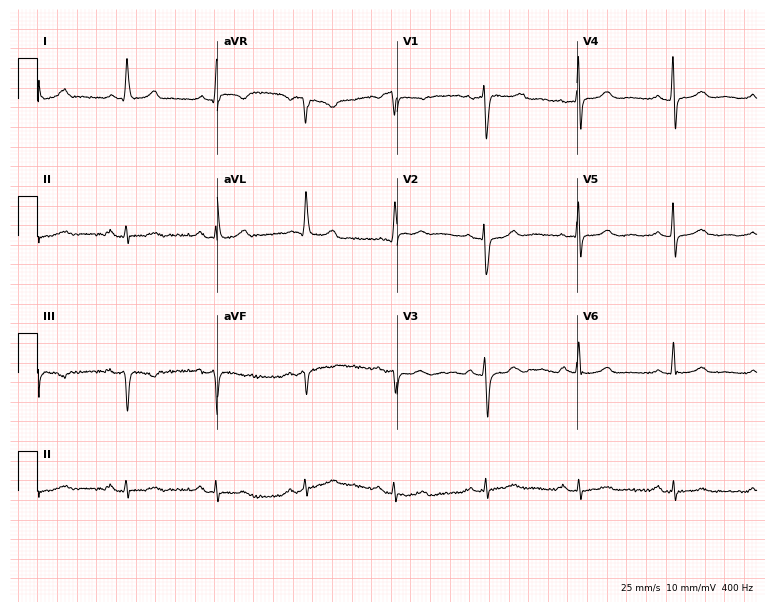
Electrocardiogram (7.3-second recording at 400 Hz), a female patient, 66 years old. Of the six screened findings (first-degree AV block, right bundle branch block (RBBB), left bundle branch block (LBBB), sinus bradycardia, atrial fibrillation (AF), sinus tachycardia), none is recorded.